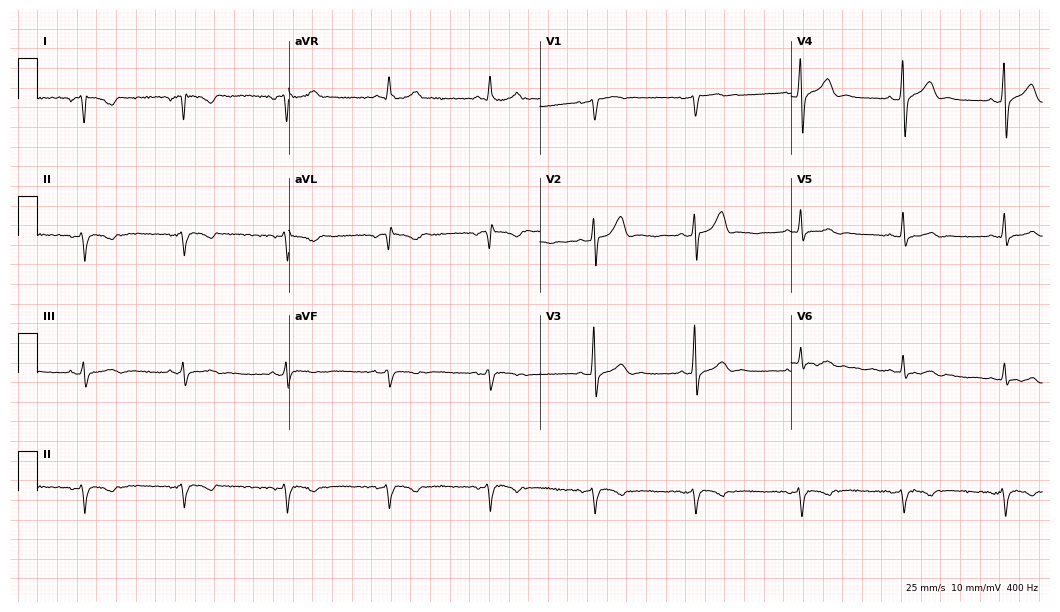
Electrocardiogram, a man, 32 years old. Of the six screened findings (first-degree AV block, right bundle branch block, left bundle branch block, sinus bradycardia, atrial fibrillation, sinus tachycardia), none is recorded.